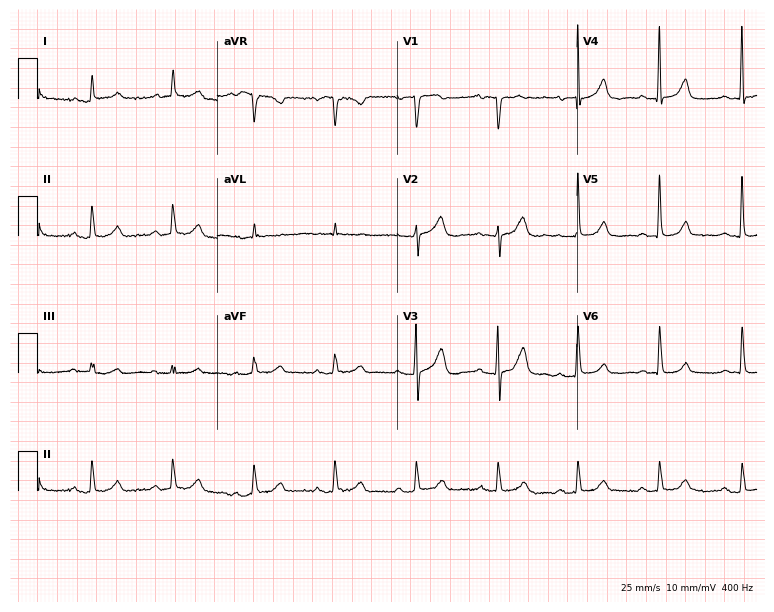
Electrocardiogram, an 84-year-old female. Overall reading on record: normal ECG.